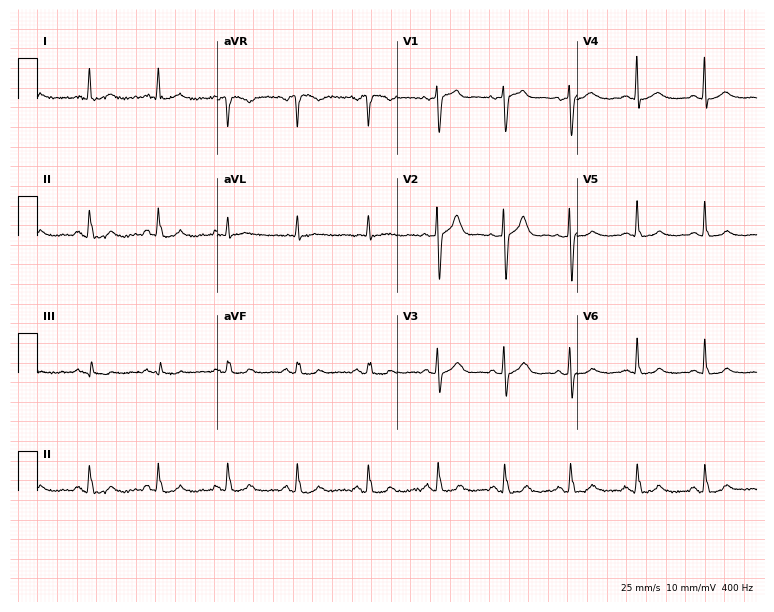
ECG (7.3-second recording at 400 Hz) — a 63-year-old female. Labelled as a normal ECG.